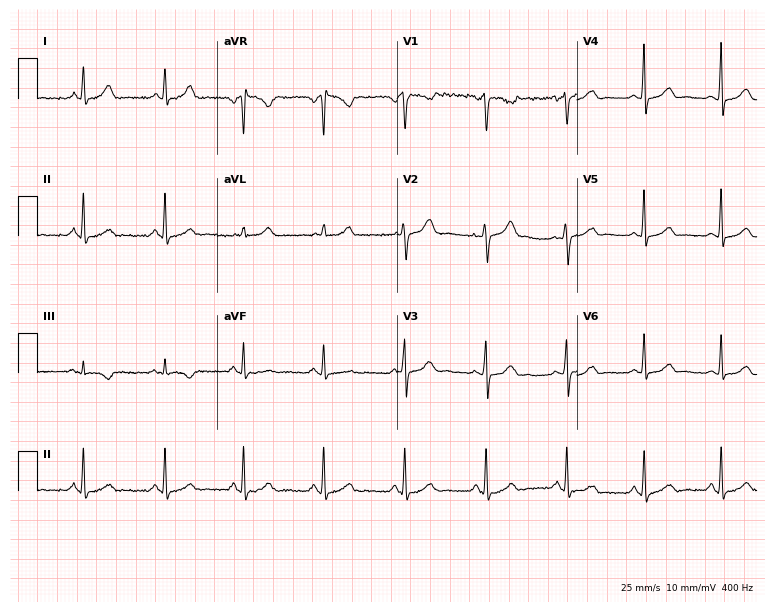
Electrocardiogram (7.3-second recording at 400 Hz), a 42-year-old male. Overall reading on record: normal ECG.